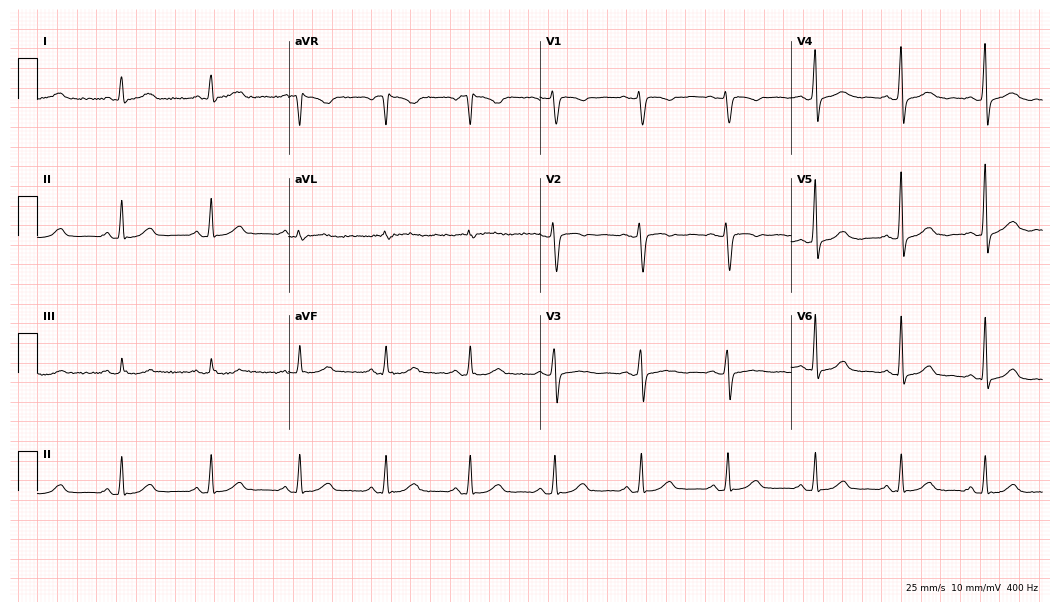
12-lead ECG (10.2-second recording at 400 Hz) from a female patient, 57 years old. Screened for six findings — first-degree AV block, right bundle branch block, left bundle branch block, sinus bradycardia, atrial fibrillation, sinus tachycardia — none is recorded. Other findings, if any, are not listed.